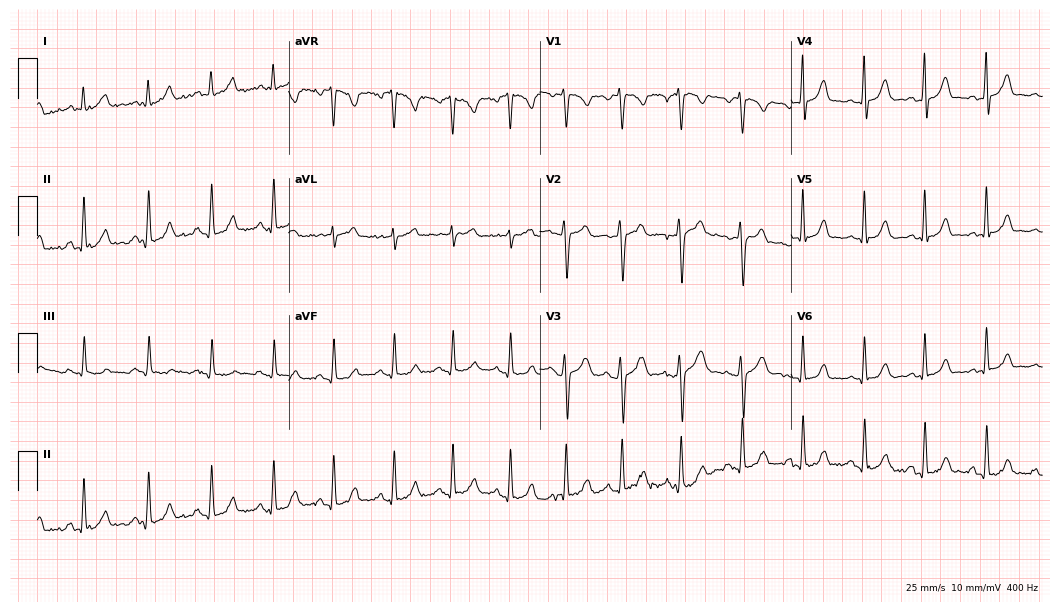
12-lead ECG from a woman, 23 years old (10.2-second recording at 400 Hz). No first-degree AV block, right bundle branch block (RBBB), left bundle branch block (LBBB), sinus bradycardia, atrial fibrillation (AF) or sinus tachycardia recorded for this tracing. Findings outside these six are not listed.